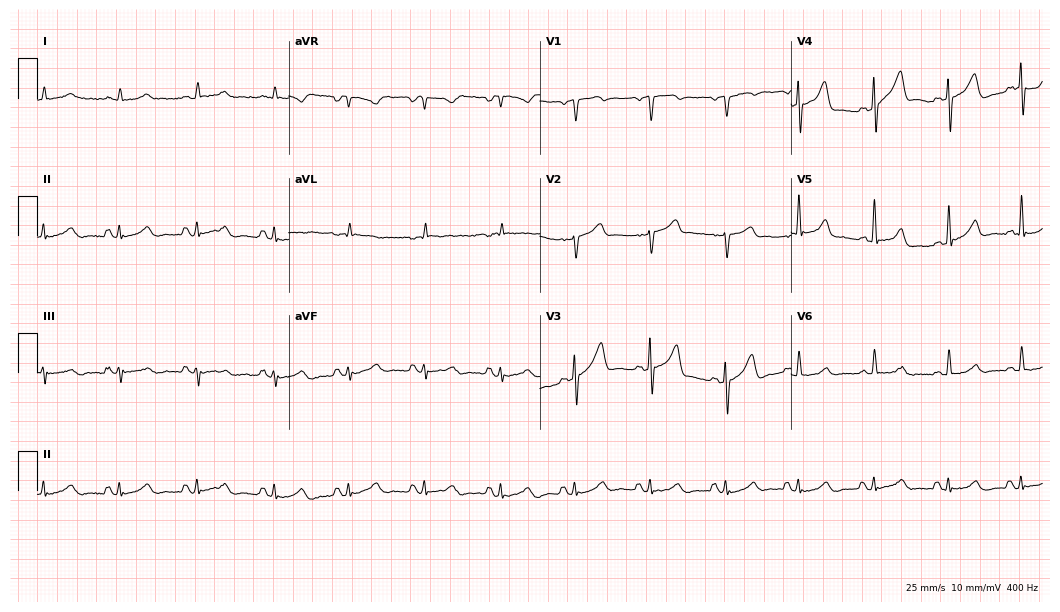
Resting 12-lead electrocardiogram. Patient: a 64-year-old man. Read as a normal ECG.